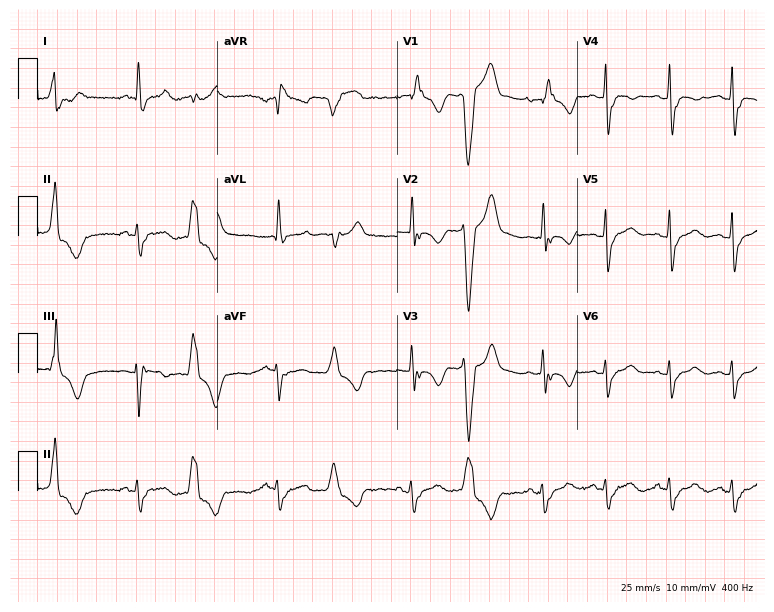
Resting 12-lead electrocardiogram. Patient: a 56-year-old female. The tracing shows right bundle branch block.